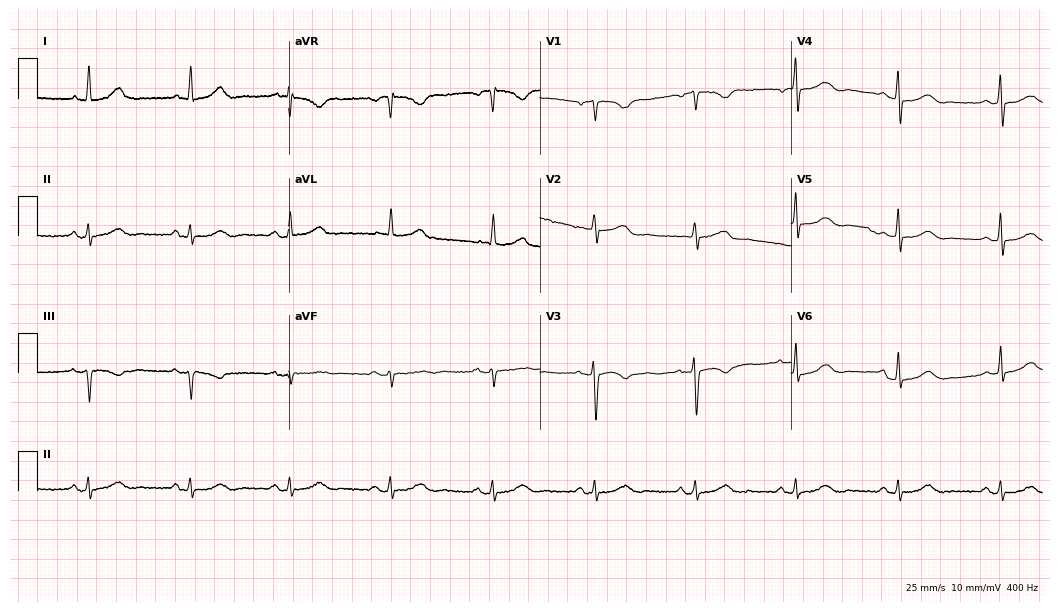
Resting 12-lead electrocardiogram (10.2-second recording at 400 Hz). Patient: a 69-year-old female. Read as a normal ECG.